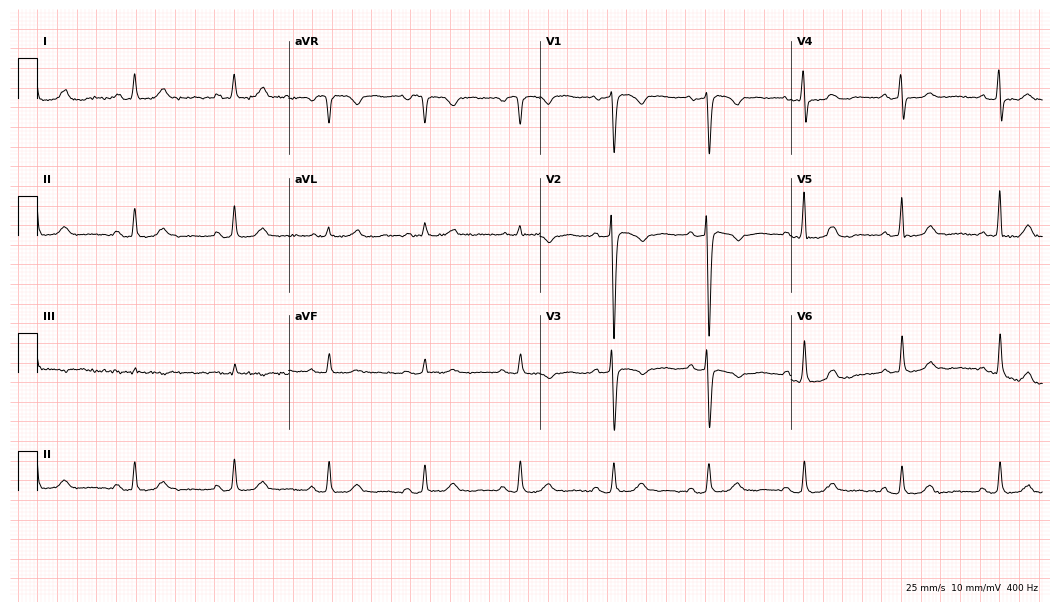
ECG (10.2-second recording at 400 Hz) — a male, 74 years old. Screened for six findings — first-degree AV block, right bundle branch block, left bundle branch block, sinus bradycardia, atrial fibrillation, sinus tachycardia — none is recorded.